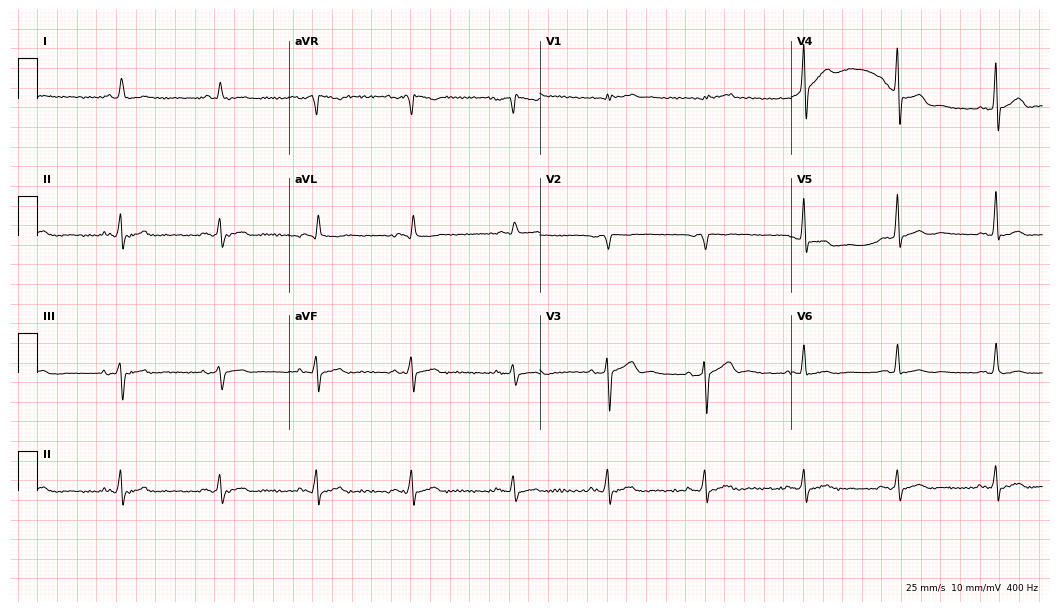
12-lead ECG from a man, 68 years old. Screened for six findings — first-degree AV block, right bundle branch block, left bundle branch block, sinus bradycardia, atrial fibrillation, sinus tachycardia — none is recorded. Only these six findings were labelled.